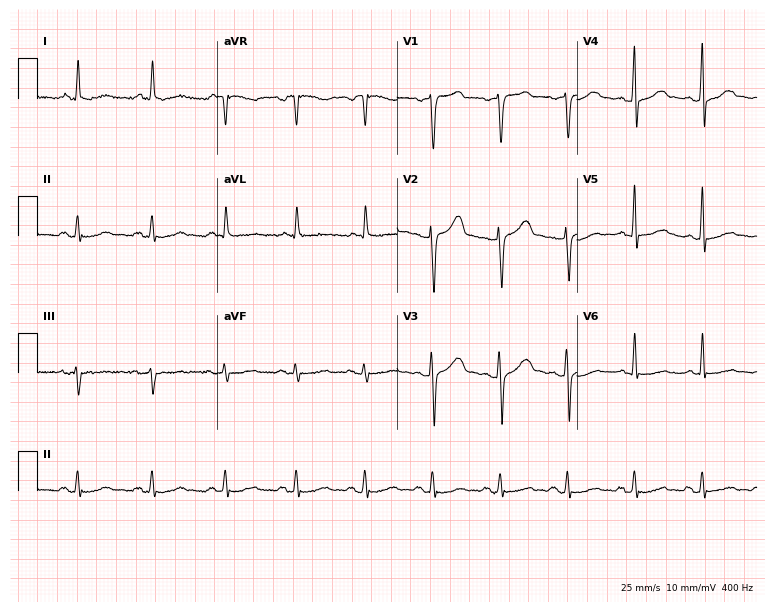
12-lead ECG from a man, 61 years old (7.3-second recording at 400 Hz). No first-degree AV block, right bundle branch block (RBBB), left bundle branch block (LBBB), sinus bradycardia, atrial fibrillation (AF) or sinus tachycardia recorded for this tracing. Other findings, if any, are not listed.